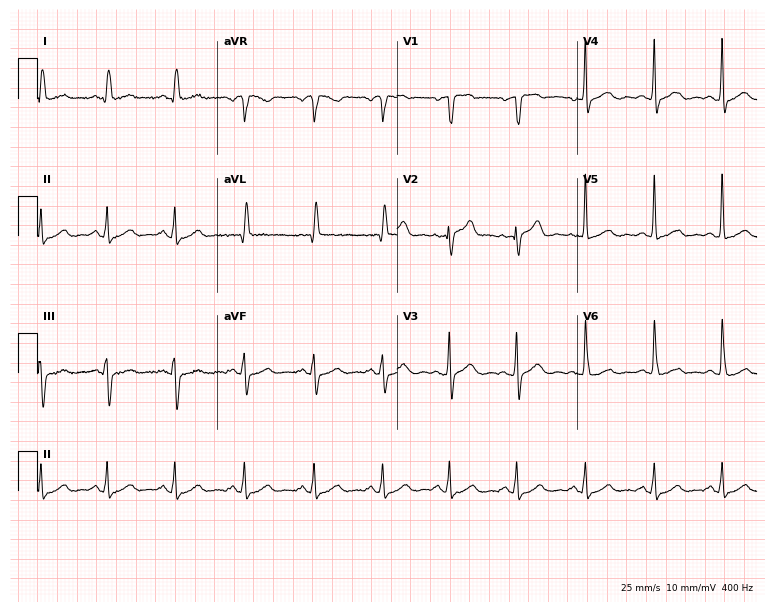
Standard 12-lead ECG recorded from a 57-year-old man (7.3-second recording at 400 Hz). Read as a normal ECG.